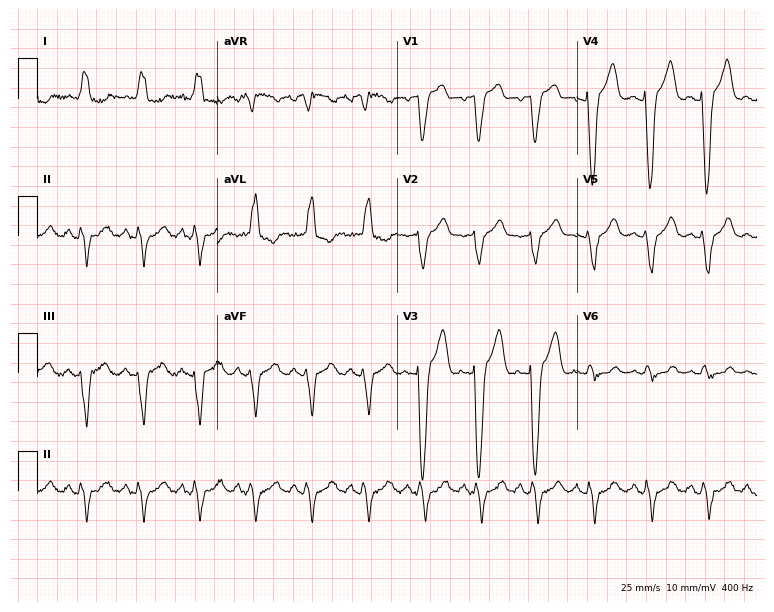
Standard 12-lead ECG recorded from a female, 73 years old. None of these six findings is recorded: first-degree AV block, right bundle branch block, left bundle branch block, sinus bradycardia, atrial fibrillation, sinus tachycardia.